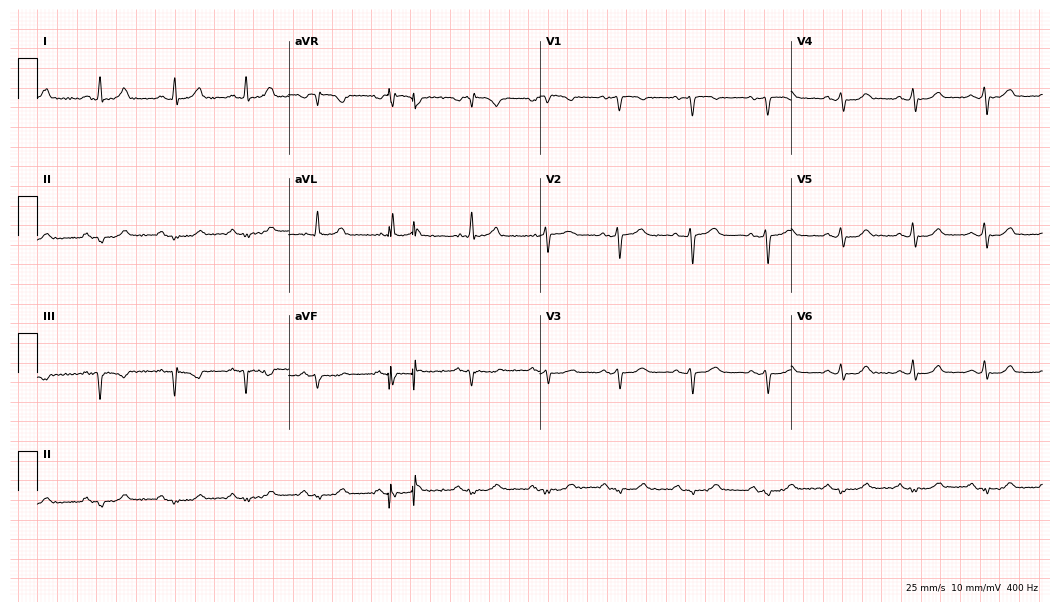
12-lead ECG from a 61-year-old female patient. No first-degree AV block, right bundle branch block, left bundle branch block, sinus bradycardia, atrial fibrillation or sinus tachycardia recorded for this tracing. Findings outside these six are not listed.